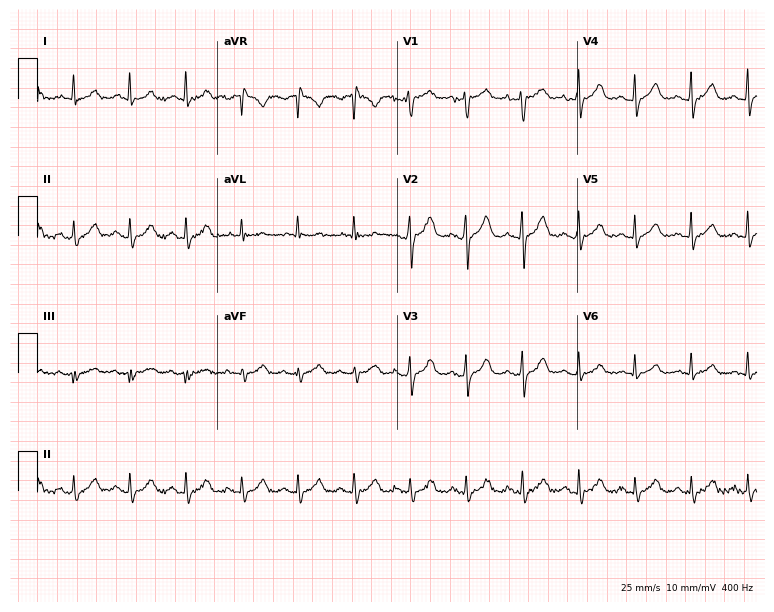
ECG — a female, 66 years old. Findings include sinus tachycardia (a sinus rate of 100 beats per minute or more).